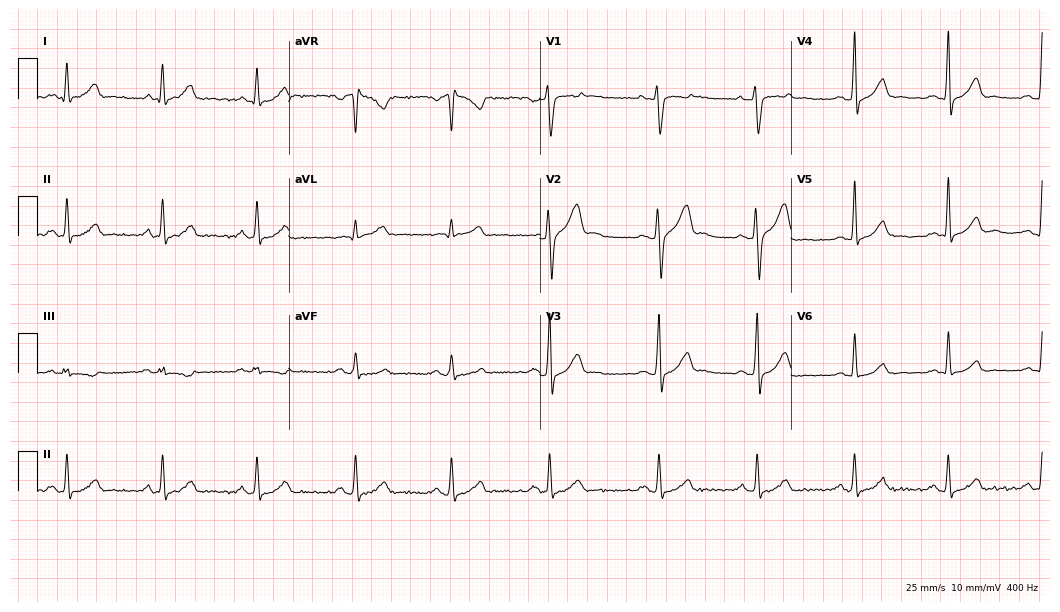
Standard 12-lead ECG recorded from a 30-year-old man (10.2-second recording at 400 Hz). None of these six findings is recorded: first-degree AV block, right bundle branch block, left bundle branch block, sinus bradycardia, atrial fibrillation, sinus tachycardia.